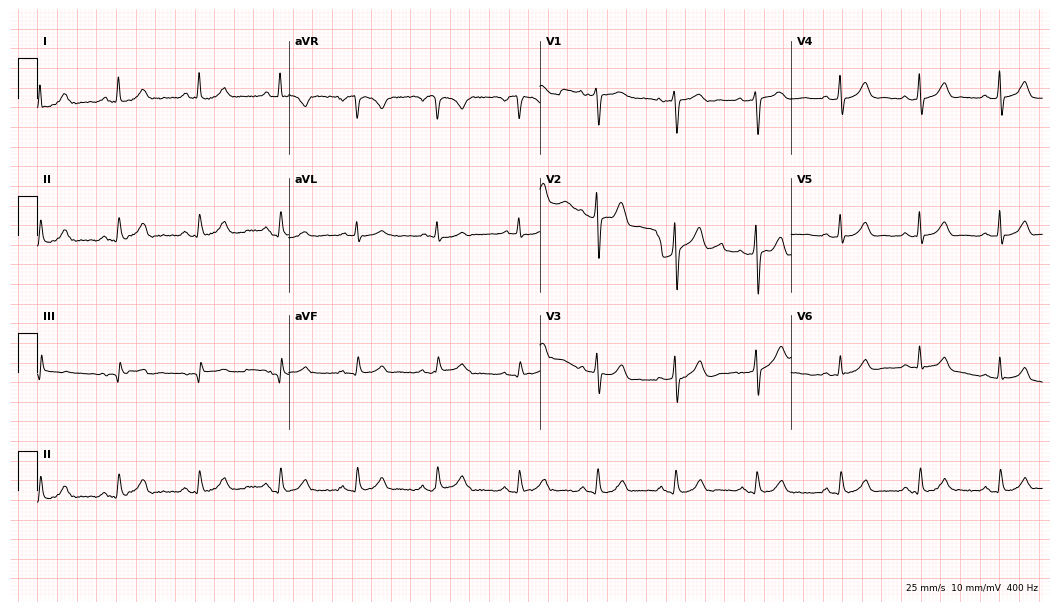
ECG — a 58-year-old woman. Screened for six findings — first-degree AV block, right bundle branch block, left bundle branch block, sinus bradycardia, atrial fibrillation, sinus tachycardia — none is recorded. Only these six findings were labelled.